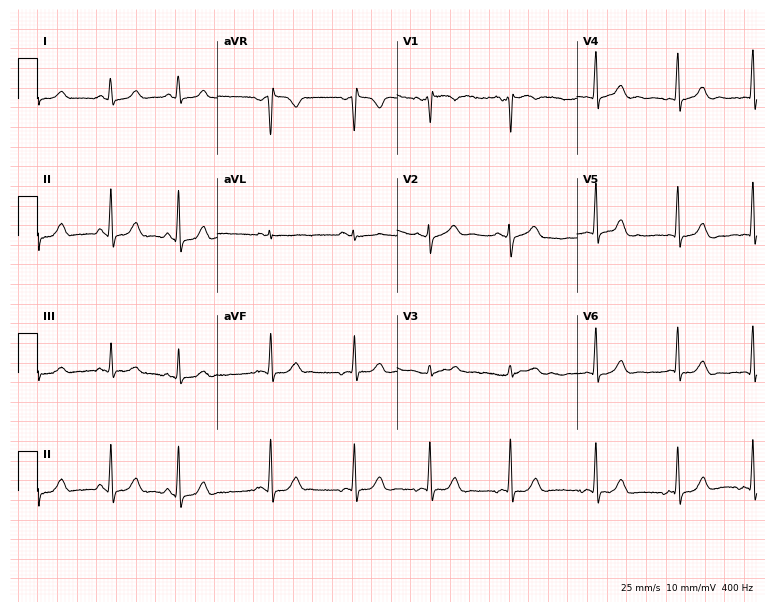
Resting 12-lead electrocardiogram. Patient: a female, 27 years old. None of these six findings is recorded: first-degree AV block, right bundle branch block, left bundle branch block, sinus bradycardia, atrial fibrillation, sinus tachycardia. Findings outside these six are not listed.